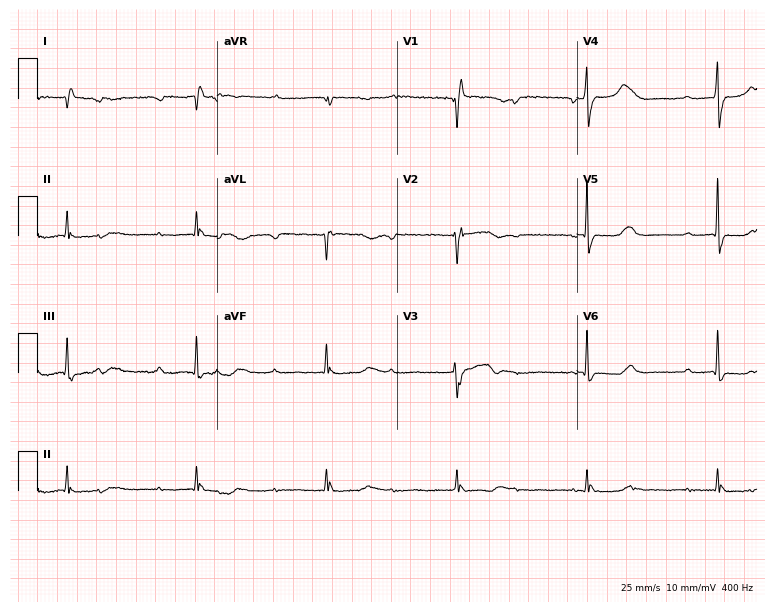
12-lead ECG from a male, 74 years old (7.3-second recording at 400 Hz). No first-degree AV block, right bundle branch block (RBBB), left bundle branch block (LBBB), sinus bradycardia, atrial fibrillation (AF) or sinus tachycardia recorded for this tracing. Other findings, if any, are not listed.